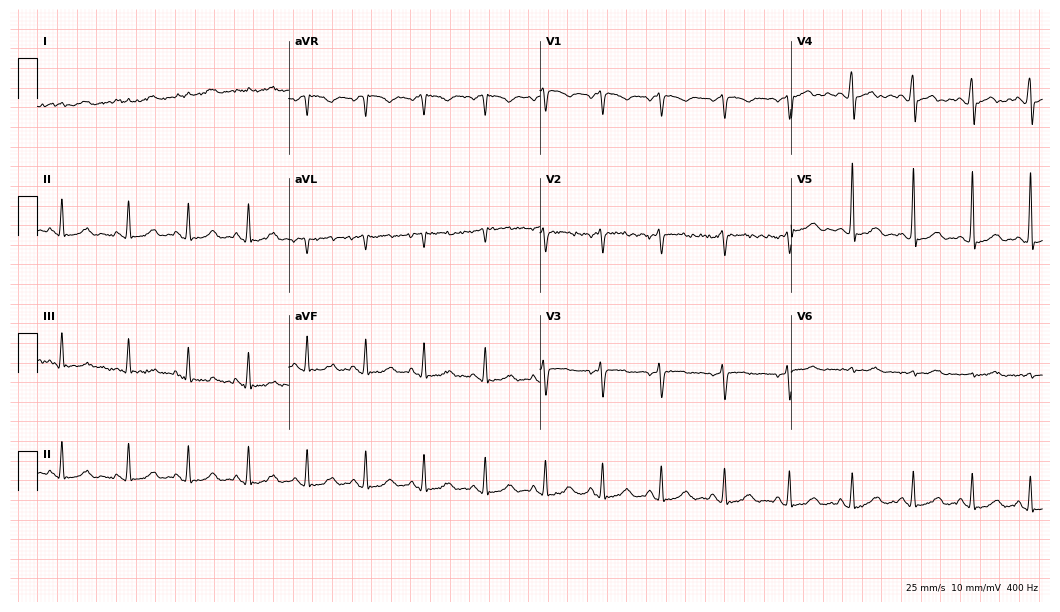
Standard 12-lead ECG recorded from a female patient, 19 years old (10.2-second recording at 400 Hz). Read as a normal ECG.